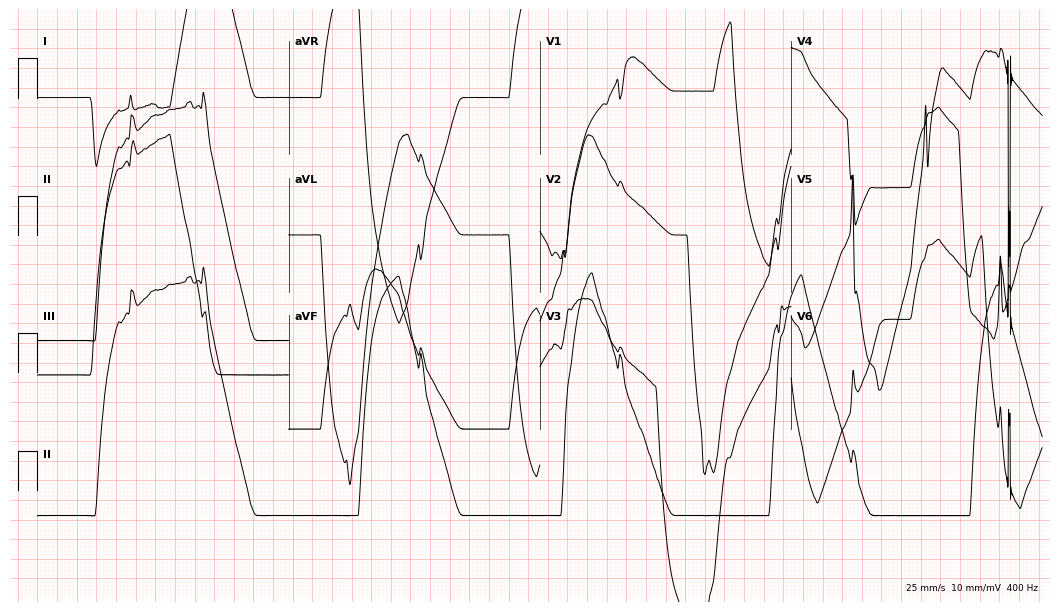
ECG — a 78-year-old female. Screened for six findings — first-degree AV block, right bundle branch block (RBBB), left bundle branch block (LBBB), sinus bradycardia, atrial fibrillation (AF), sinus tachycardia — none is recorded.